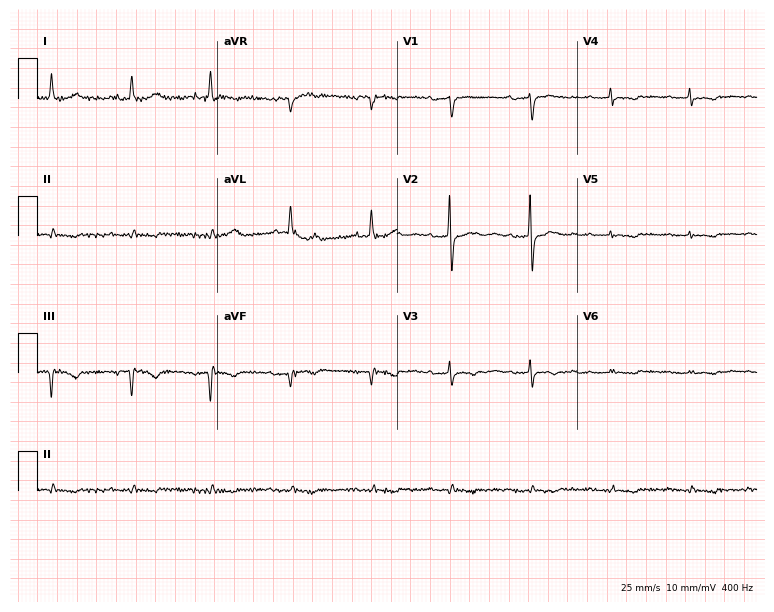
Electrocardiogram (7.3-second recording at 400 Hz), a female, 85 years old. Of the six screened findings (first-degree AV block, right bundle branch block, left bundle branch block, sinus bradycardia, atrial fibrillation, sinus tachycardia), none is recorded.